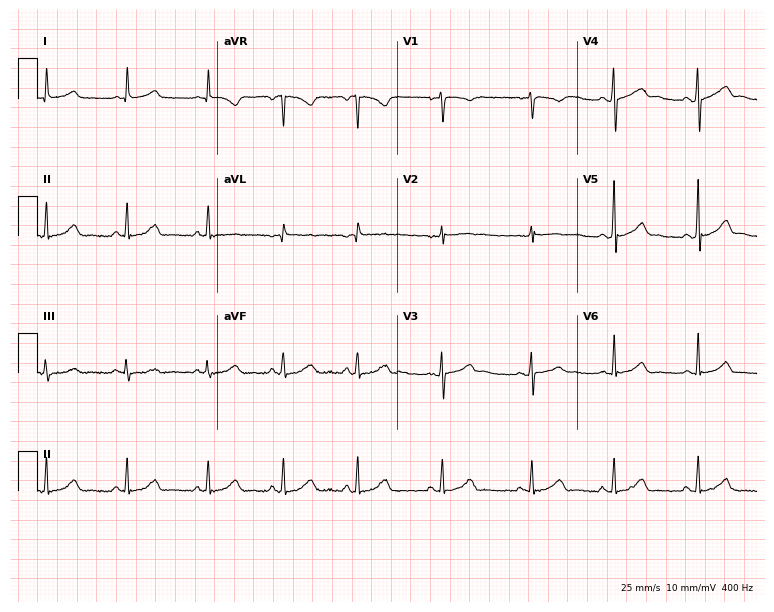
Standard 12-lead ECG recorded from a 21-year-old female patient (7.3-second recording at 400 Hz). None of these six findings is recorded: first-degree AV block, right bundle branch block, left bundle branch block, sinus bradycardia, atrial fibrillation, sinus tachycardia. Other findings, if any, are not listed.